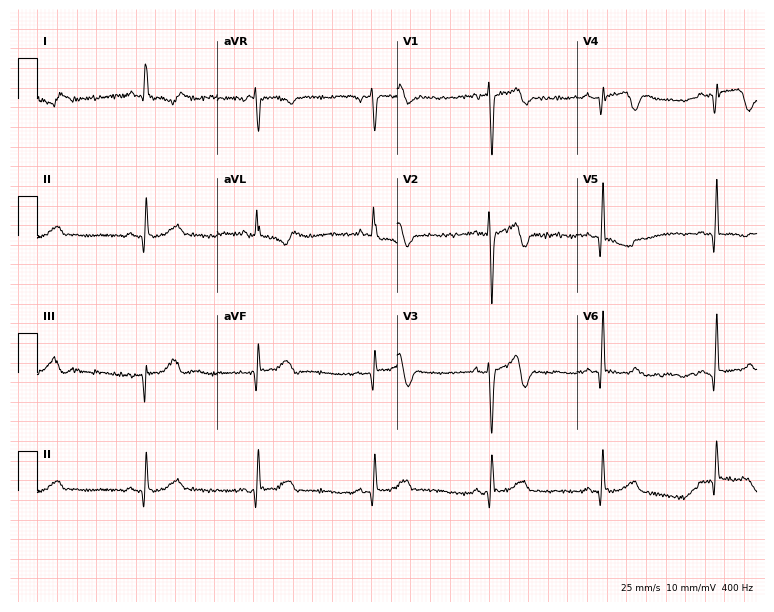
ECG — a man, 59 years old. Screened for six findings — first-degree AV block, right bundle branch block (RBBB), left bundle branch block (LBBB), sinus bradycardia, atrial fibrillation (AF), sinus tachycardia — none is recorded. Findings outside these six are not listed.